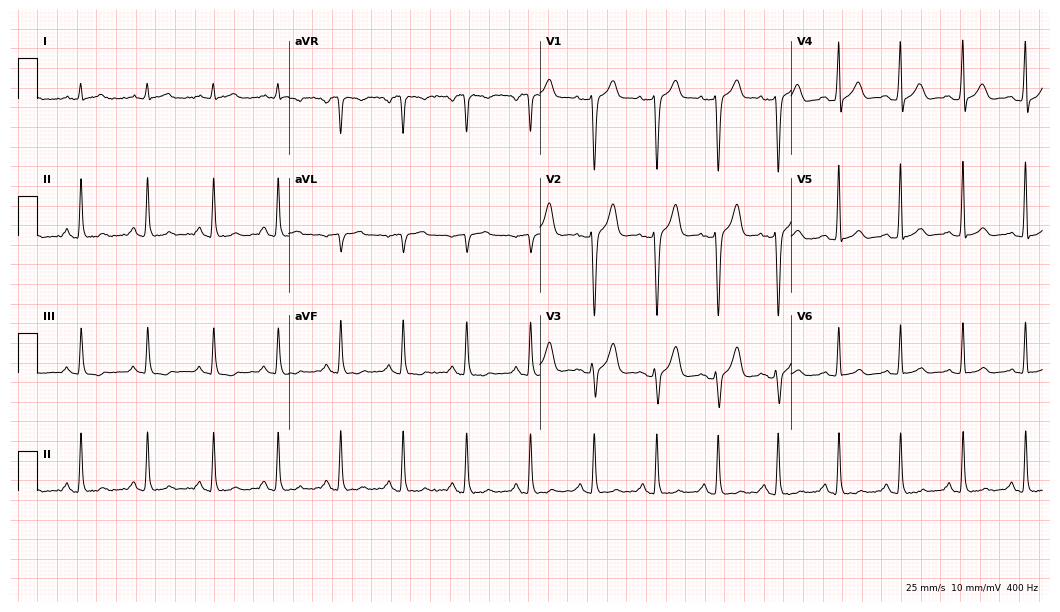
12-lead ECG from a 40-year-old male patient (10.2-second recording at 400 Hz). Recorded interpretation: within normal limits.